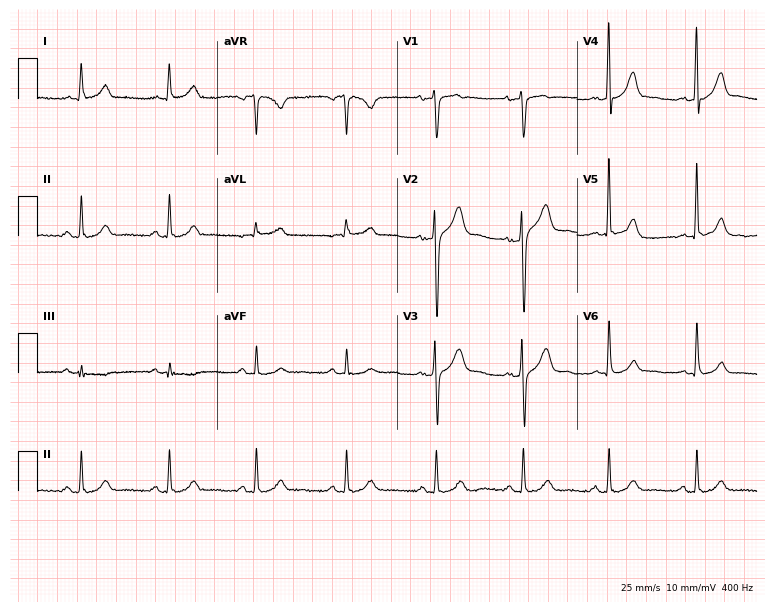
Resting 12-lead electrocardiogram. Patient: a male, 52 years old. Read as a normal ECG.